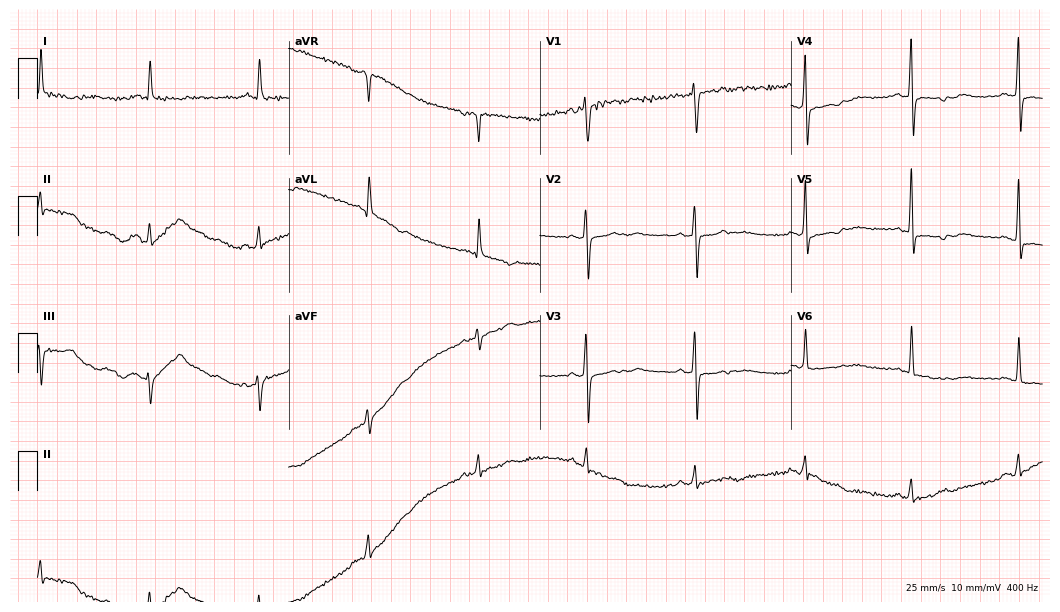
12-lead ECG from a 72-year-old male patient. Screened for six findings — first-degree AV block, right bundle branch block, left bundle branch block, sinus bradycardia, atrial fibrillation, sinus tachycardia — none is recorded. Other findings, if any, are not listed.